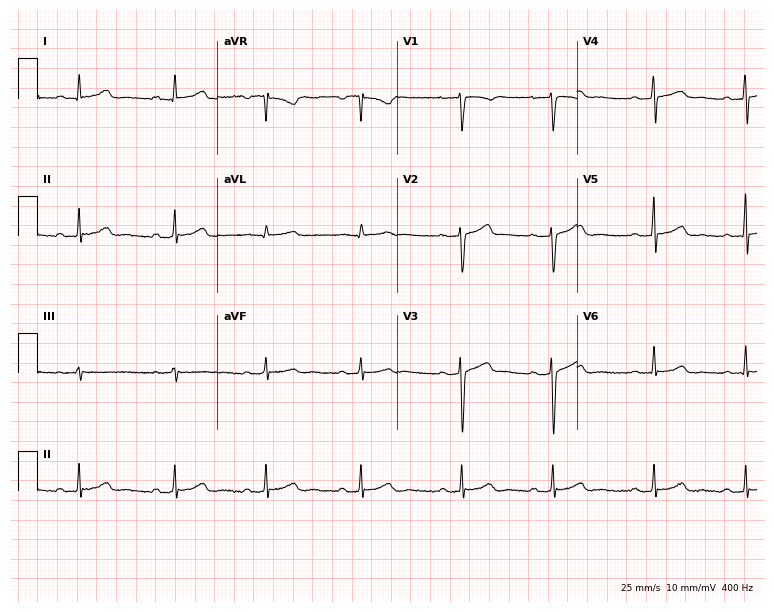
Standard 12-lead ECG recorded from a woman, 30 years old. None of these six findings is recorded: first-degree AV block, right bundle branch block, left bundle branch block, sinus bradycardia, atrial fibrillation, sinus tachycardia.